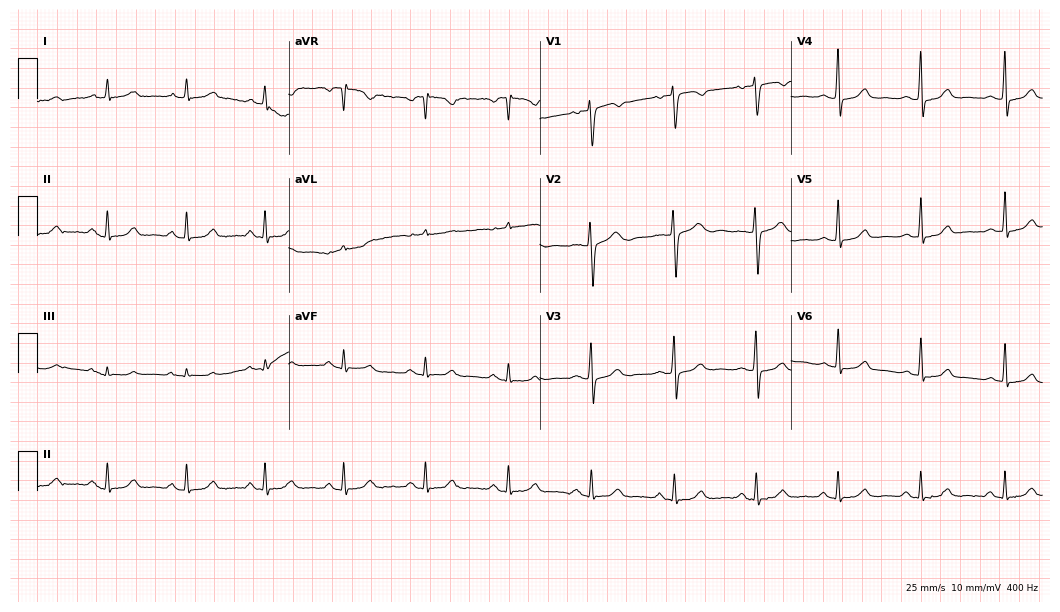
Standard 12-lead ECG recorded from a 52-year-old woman (10.2-second recording at 400 Hz). Read as a normal ECG.